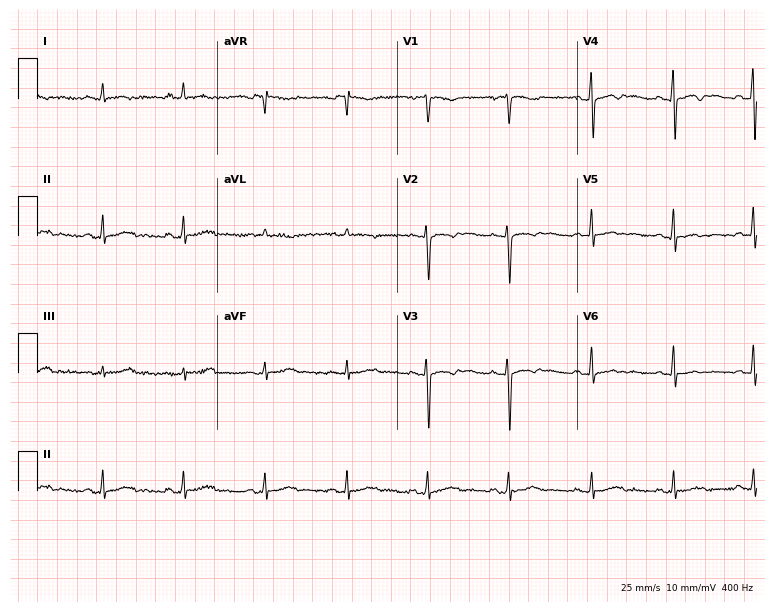
Resting 12-lead electrocardiogram (7.3-second recording at 400 Hz). Patient: a female, 44 years old. None of these six findings is recorded: first-degree AV block, right bundle branch block (RBBB), left bundle branch block (LBBB), sinus bradycardia, atrial fibrillation (AF), sinus tachycardia.